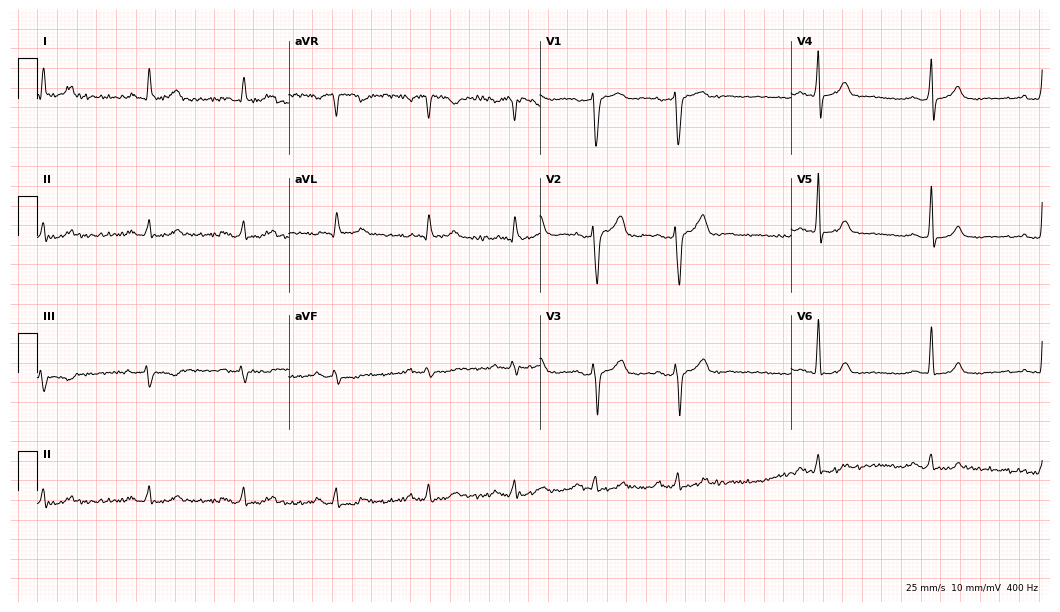
ECG — a 64-year-old man. Labelled as a normal ECG.